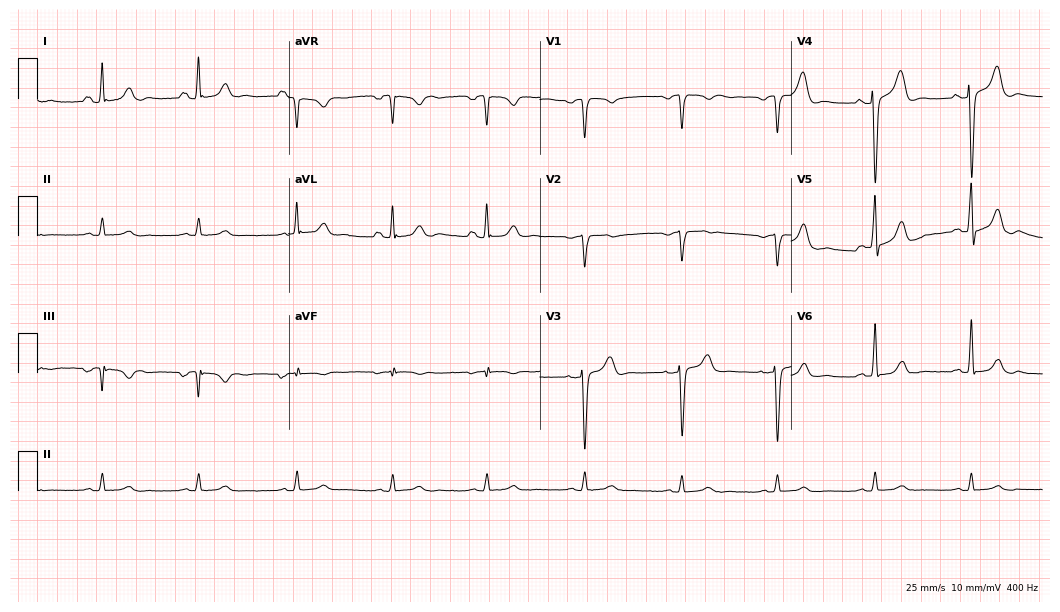
Resting 12-lead electrocardiogram. Patient: a male, 79 years old. Read as a normal ECG.